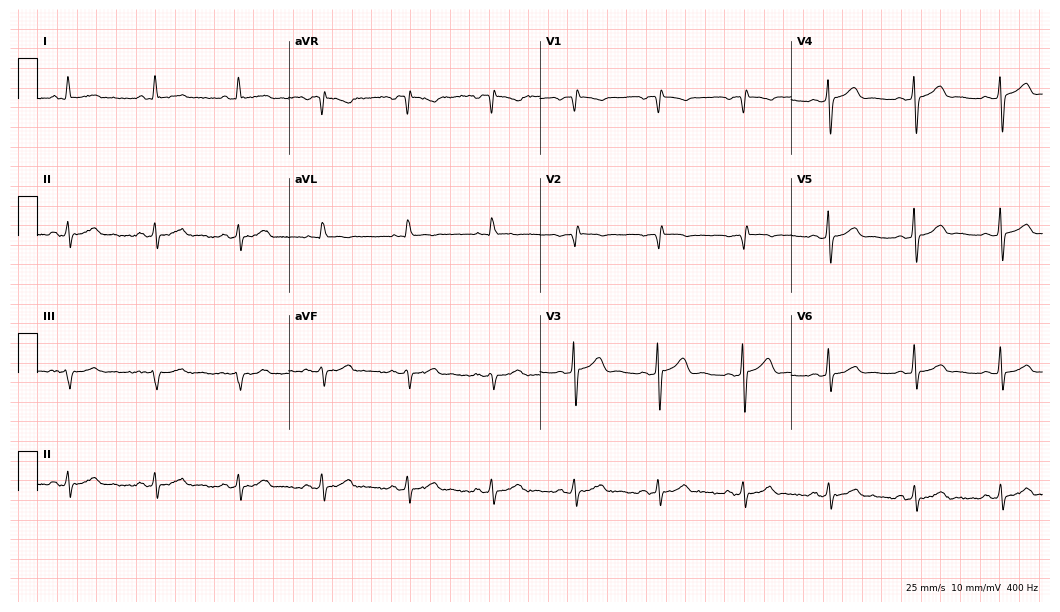
12-lead ECG from a 68-year-old woman (10.2-second recording at 400 Hz). No first-degree AV block, right bundle branch block, left bundle branch block, sinus bradycardia, atrial fibrillation or sinus tachycardia recorded for this tracing.